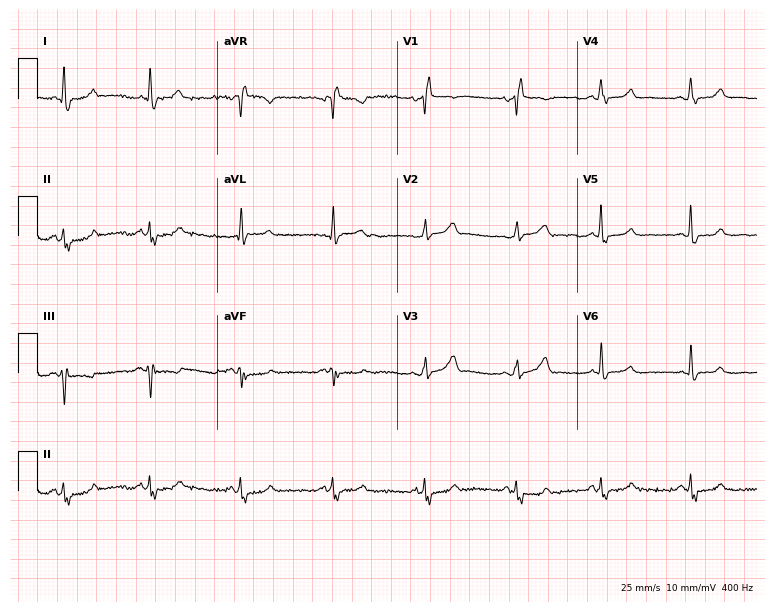
ECG — a 41-year-old female patient. Screened for six findings — first-degree AV block, right bundle branch block (RBBB), left bundle branch block (LBBB), sinus bradycardia, atrial fibrillation (AF), sinus tachycardia — none is recorded.